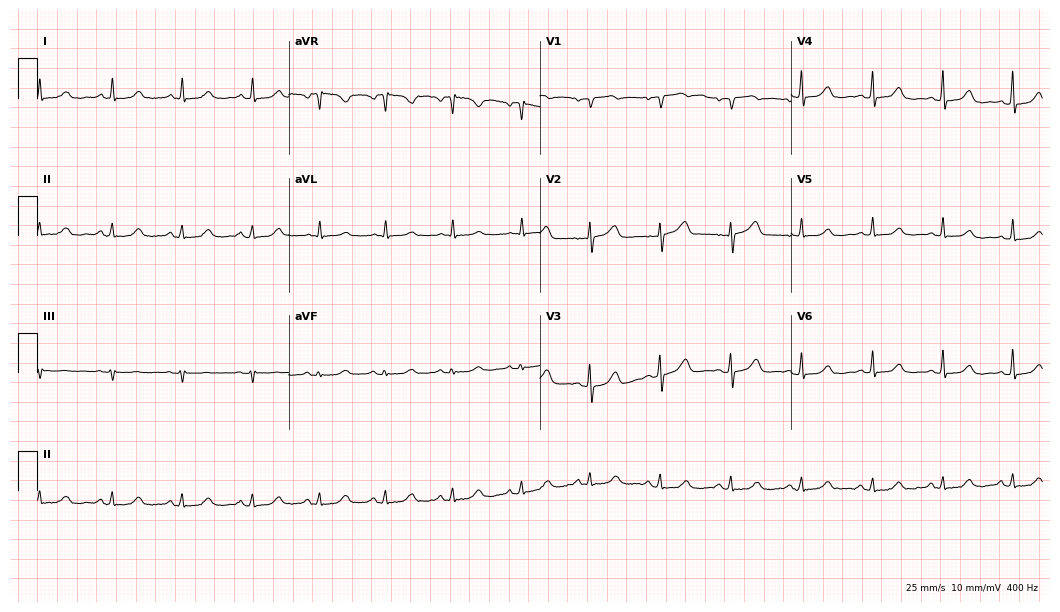
ECG — a 73-year-old female patient. Labelled as a normal ECG.